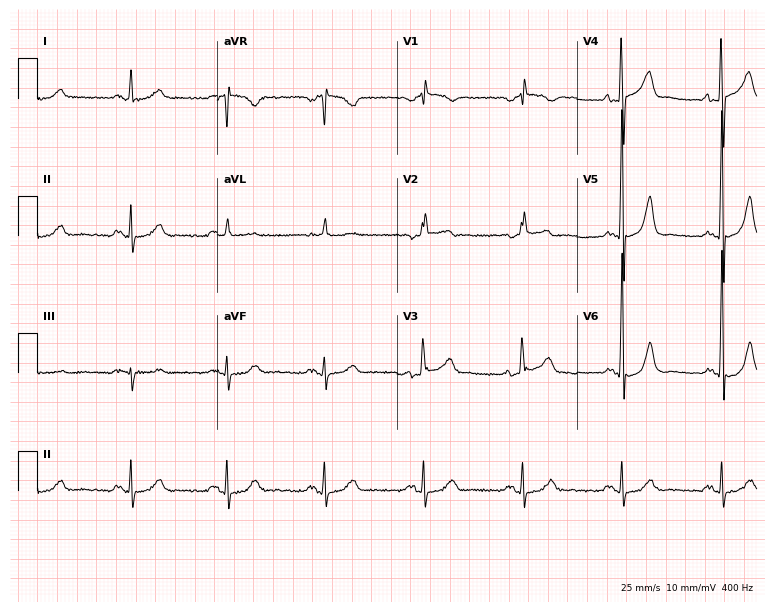
Resting 12-lead electrocardiogram. Patient: a 58-year-old male. None of these six findings is recorded: first-degree AV block, right bundle branch block, left bundle branch block, sinus bradycardia, atrial fibrillation, sinus tachycardia.